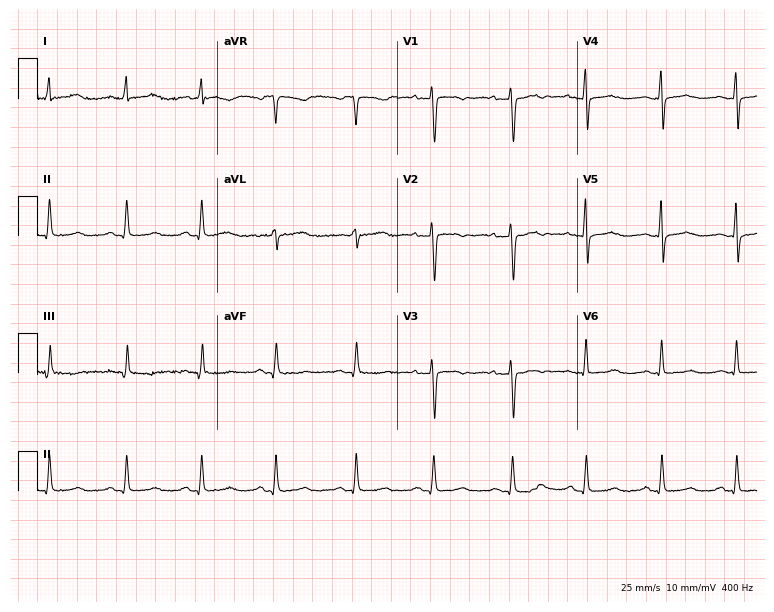
Standard 12-lead ECG recorded from a female patient, 32 years old. None of these six findings is recorded: first-degree AV block, right bundle branch block, left bundle branch block, sinus bradycardia, atrial fibrillation, sinus tachycardia. Findings outside these six are not listed.